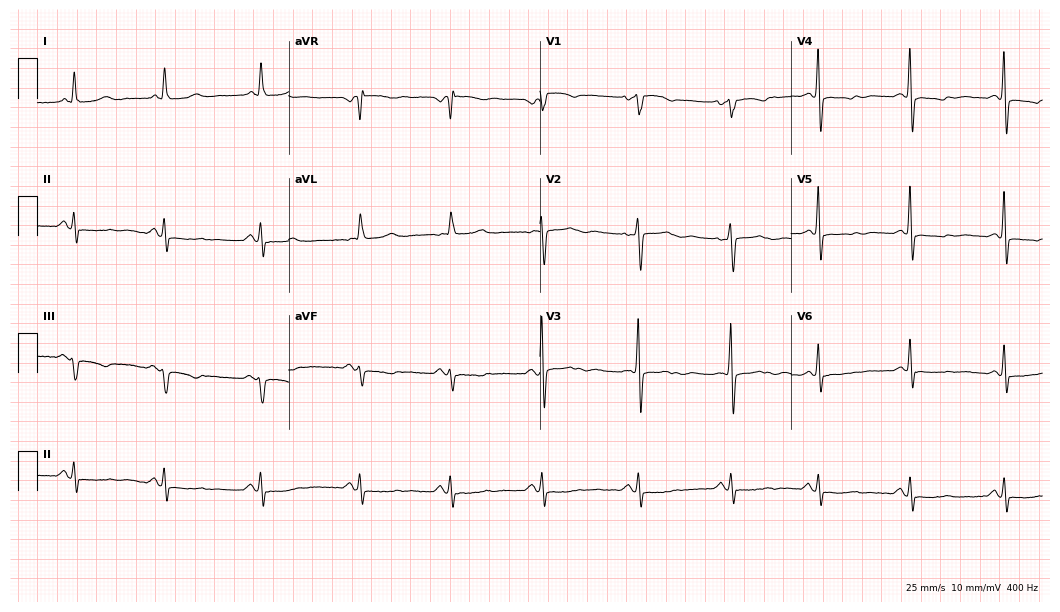
Resting 12-lead electrocardiogram. Patient: a 59-year-old female. None of these six findings is recorded: first-degree AV block, right bundle branch block (RBBB), left bundle branch block (LBBB), sinus bradycardia, atrial fibrillation (AF), sinus tachycardia.